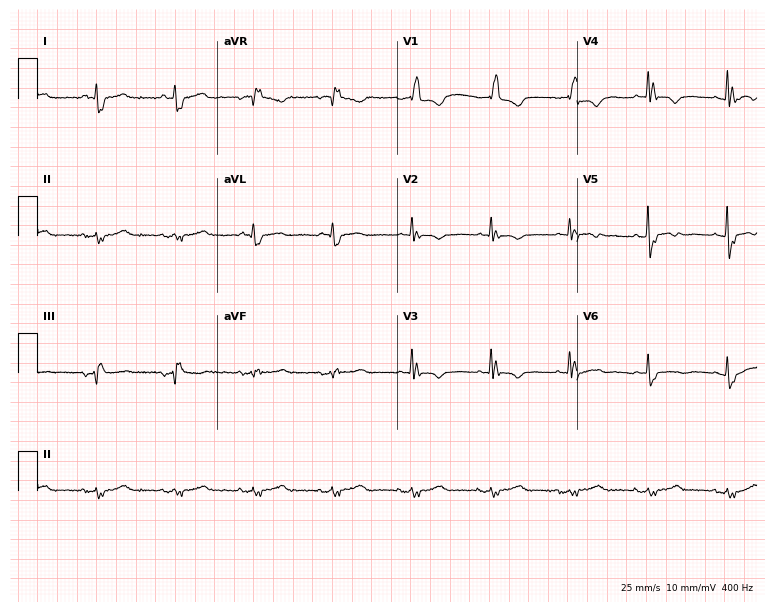
Electrocardiogram (7.3-second recording at 400 Hz), a female, 81 years old. Interpretation includes right bundle branch block (RBBB).